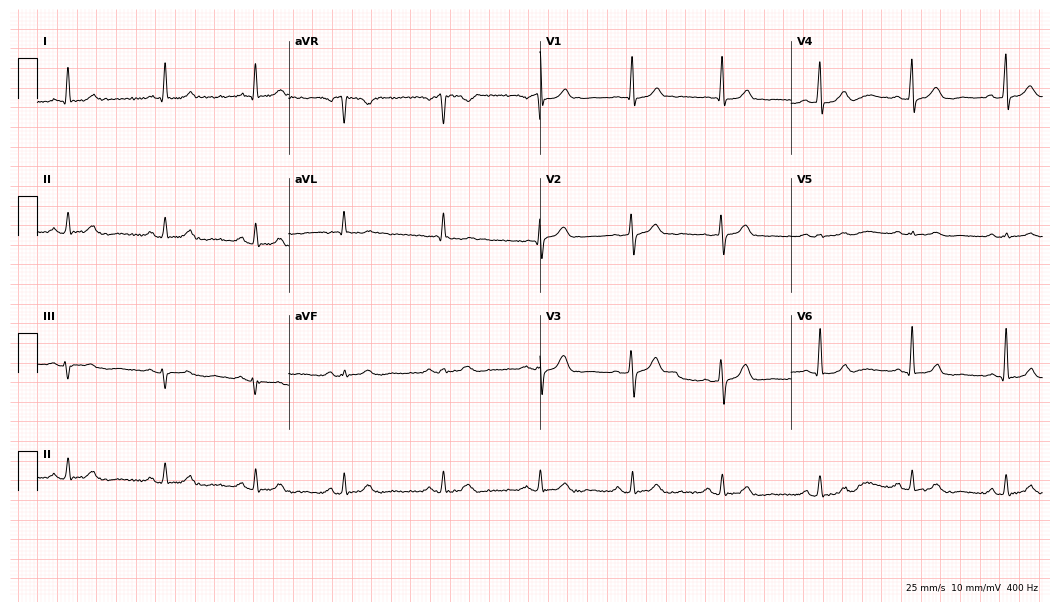
ECG — a man, 65 years old. Screened for six findings — first-degree AV block, right bundle branch block (RBBB), left bundle branch block (LBBB), sinus bradycardia, atrial fibrillation (AF), sinus tachycardia — none is recorded.